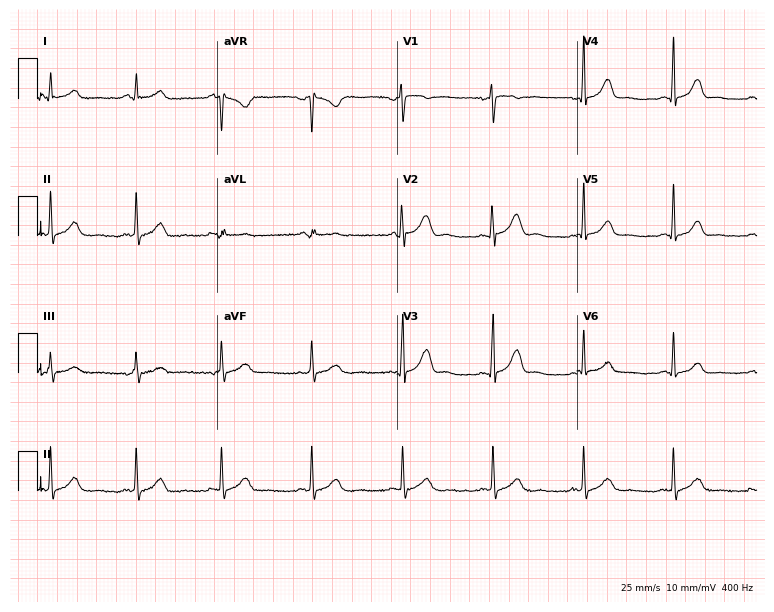
ECG — a female, 28 years old. Screened for six findings — first-degree AV block, right bundle branch block, left bundle branch block, sinus bradycardia, atrial fibrillation, sinus tachycardia — none is recorded. Findings outside these six are not listed.